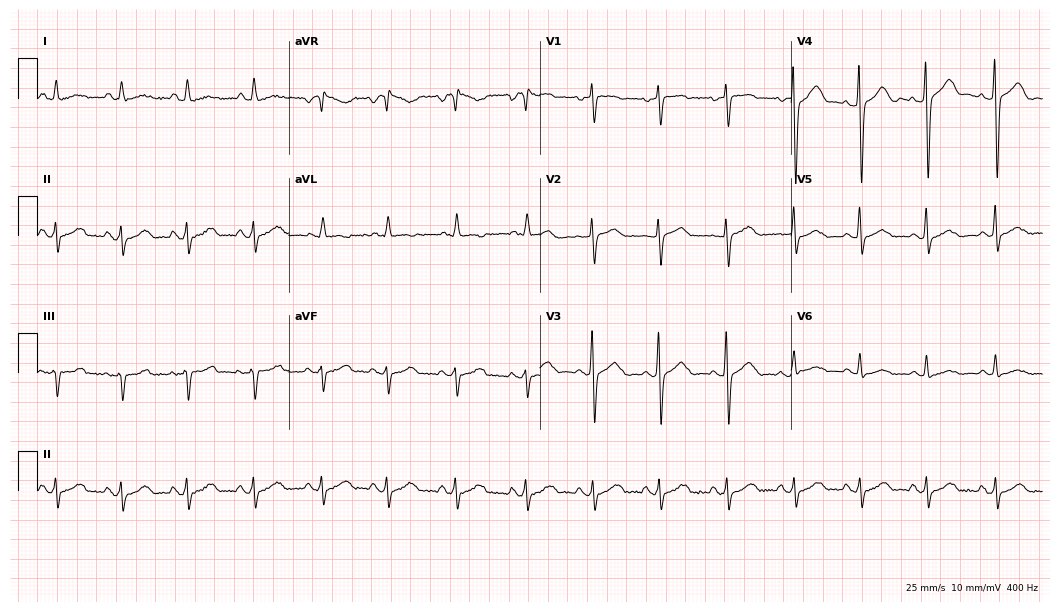
Standard 12-lead ECG recorded from a 72-year-old female patient. None of these six findings is recorded: first-degree AV block, right bundle branch block (RBBB), left bundle branch block (LBBB), sinus bradycardia, atrial fibrillation (AF), sinus tachycardia.